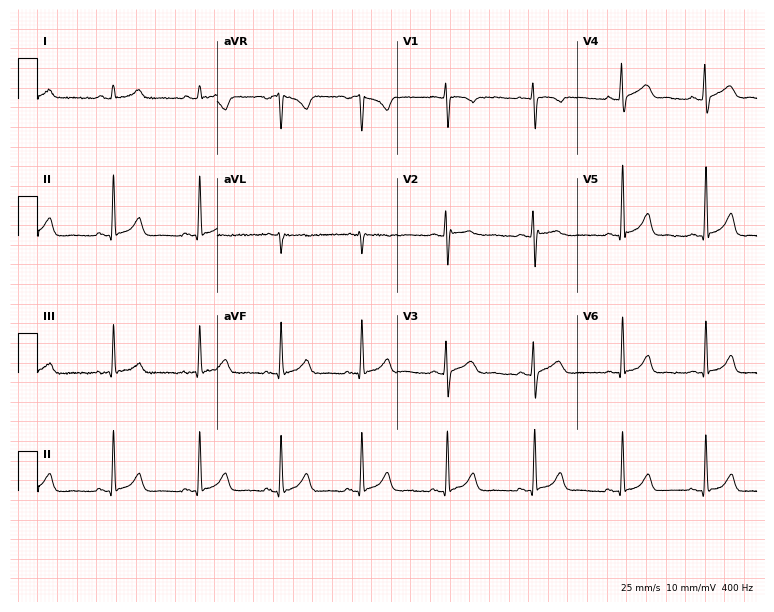
ECG (7.3-second recording at 400 Hz) — a female patient, 24 years old. Screened for six findings — first-degree AV block, right bundle branch block (RBBB), left bundle branch block (LBBB), sinus bradycardia, atrial fibrillation (AF), sinus tachycardia — none is recorded. Other findings, if any, are not listed.